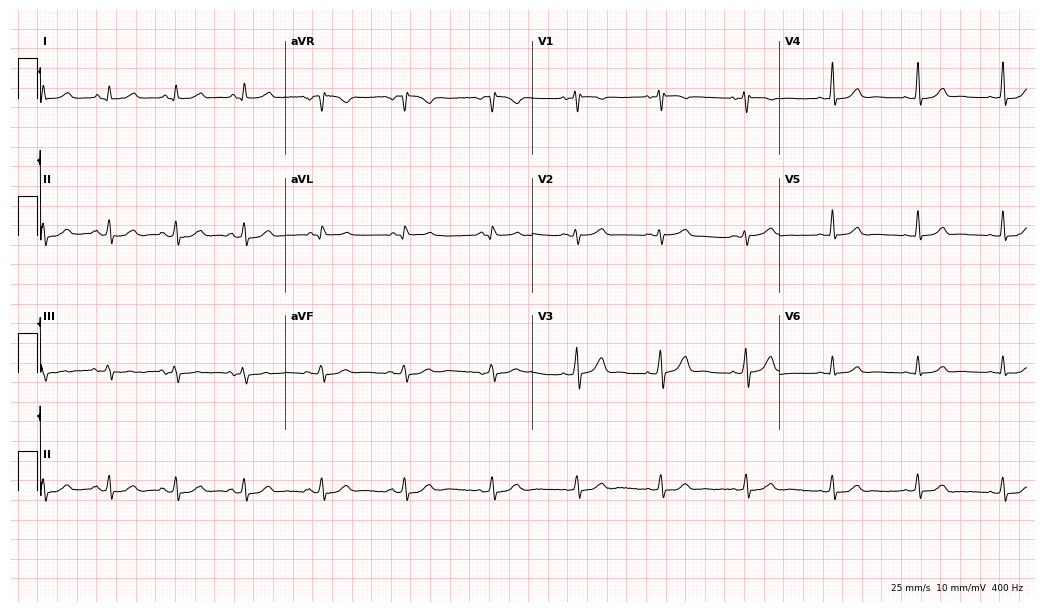
ECG — a 38-year-old female patient. Labelled as a normal ECG.